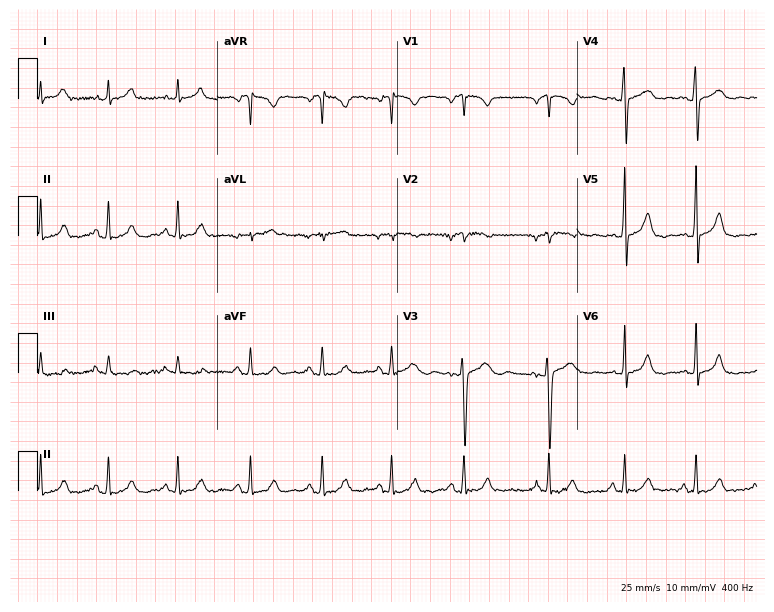
Standard 12-lead ECG recorded from a woman, 30 years old (7.3-second recording at 400 Hz). Read as a normal ECG.